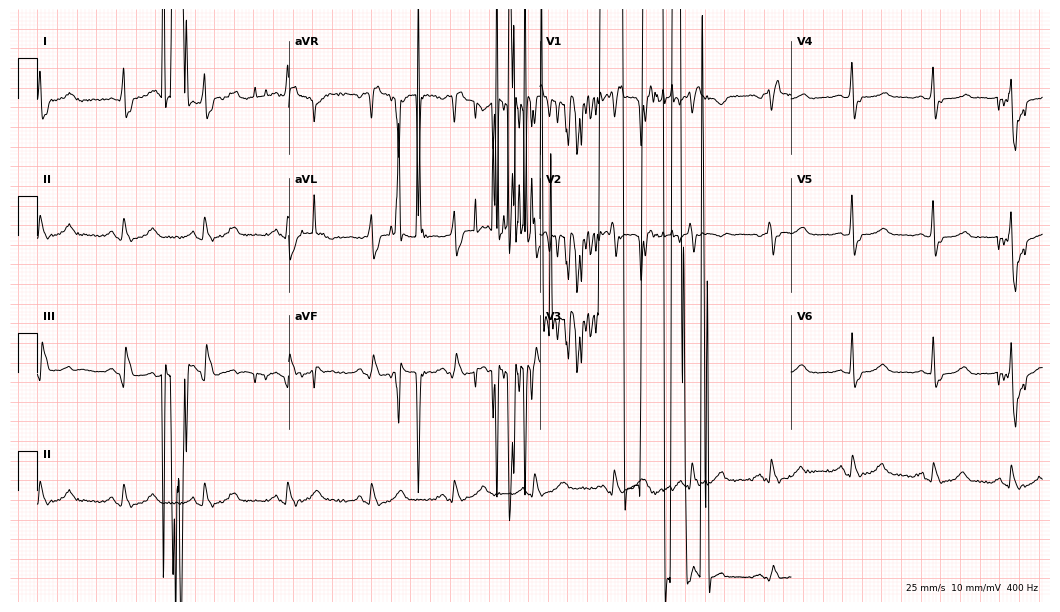
Electrocardiogram, a 67-year-old female. Of the six screened findings (first-degree AV block, right bundle branch block (RBBB), left bundle branch block (LBBB), sinus bradycardia, atrial fibrillation (AF), sinus tachycardia), none is recorded. Findings outside these six are not listed.